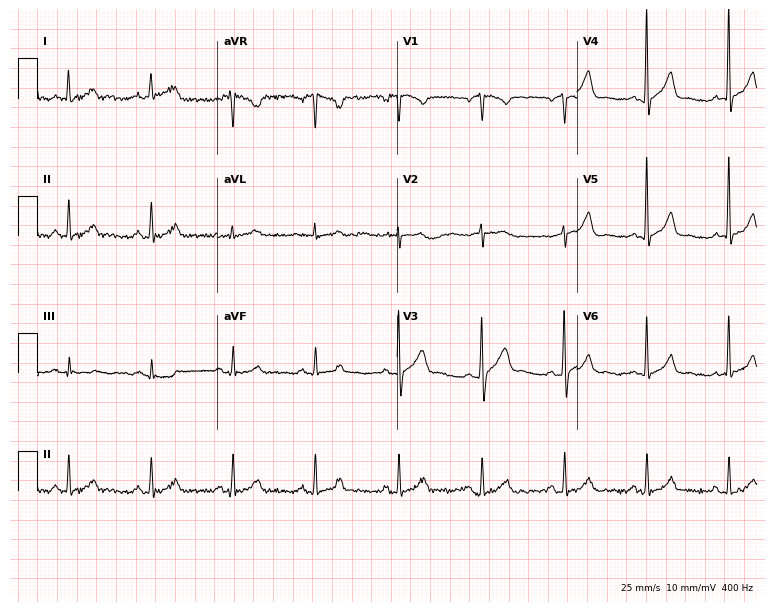
Resting 12-lead electrocardiogram (7.3-second recording at 400 Hz). Patient: a male, 74 years old. None of these six findings is recorded: first-degree AV block, right bundle branch block (RBBB), left bundle branch block (LBBB), sinus bradycardia, atrial fibrillation (AF), sinus tachycardia.